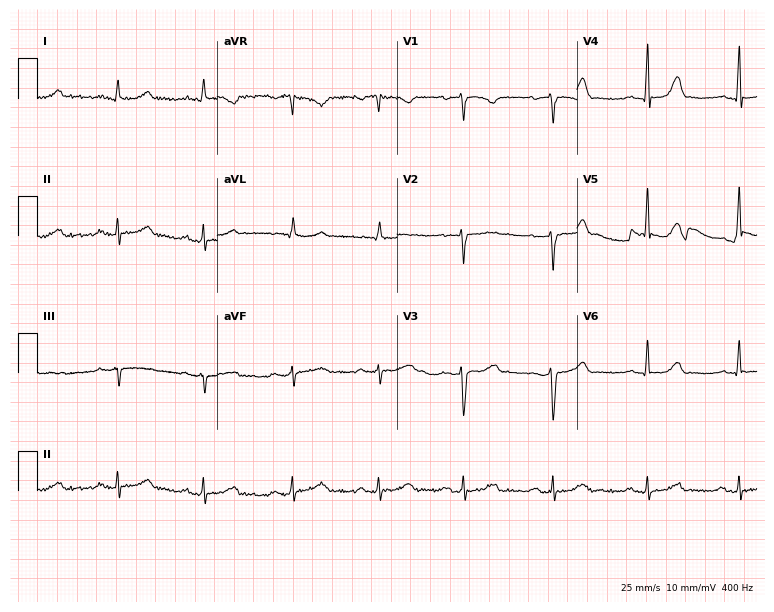
ECG — a woman, 39 years old. Labelled as a normal ECG.